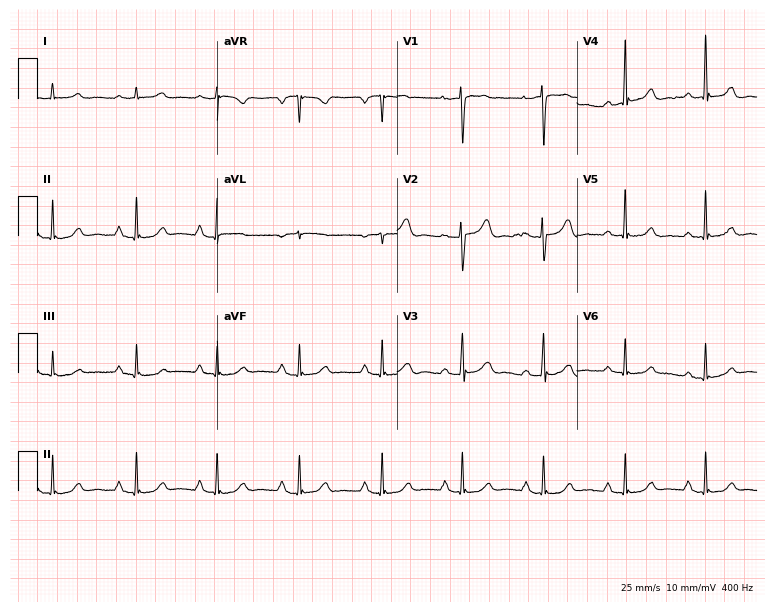
Electrocardiogram (7.3-second recording at 400 Hz), a 56-year-old woman. Overall reading on record: normal ECG.